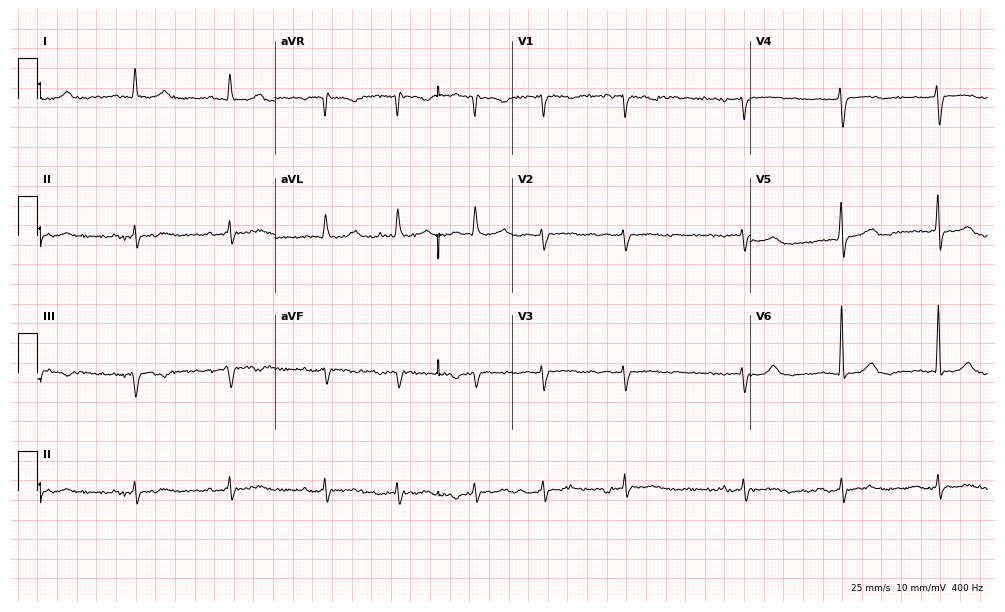
ECG (9.7-second recording at 400 Hz) — an 82-year-old man. Findings include atrial fibrillation.